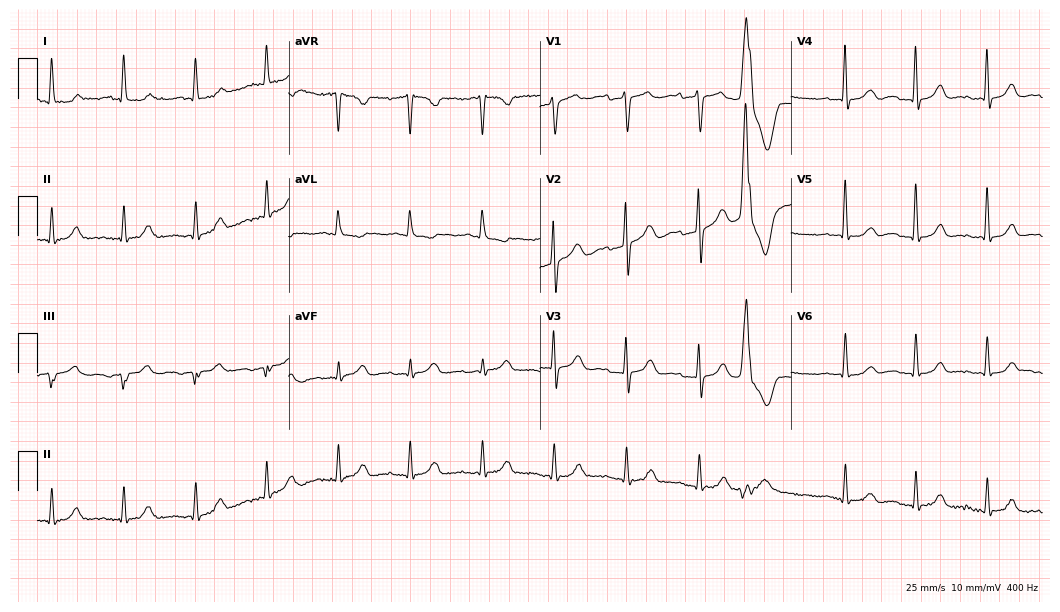
Resting 12-lead electrocardiogram. Patient: a female, 83 years old. None of these six findings is recorded: first-degree AV block, right bundle branch block (RBBB), left bundle branch block (LBBB), sinus bradycardia, atrial fibrillation (AF), sinus tachycardia.